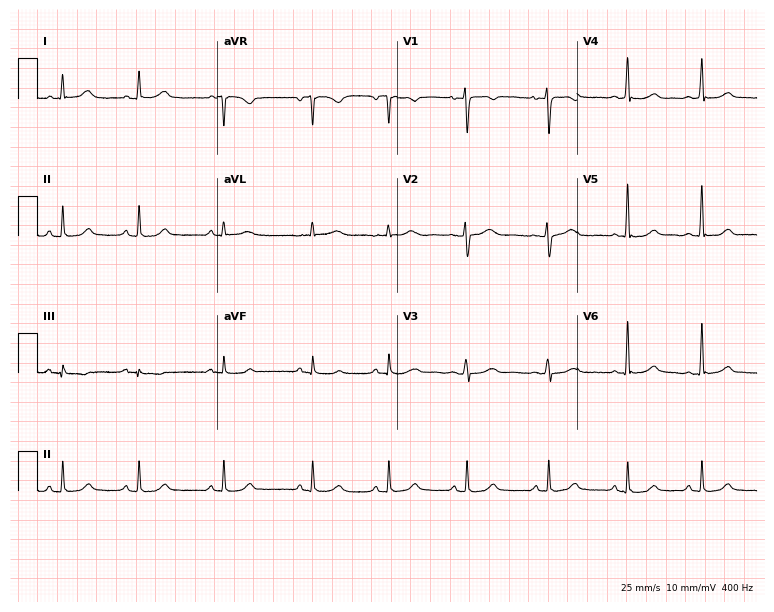
Electrocardiogram (7.3-second recording at 400 Hz), a female patient, 43 years old. Of the six screened findings (first-degree AV block, right bundle branch block, left bundle branch block, sinus bradycardia, atrial fibrillation, sinus tachycardia), none is recorded.